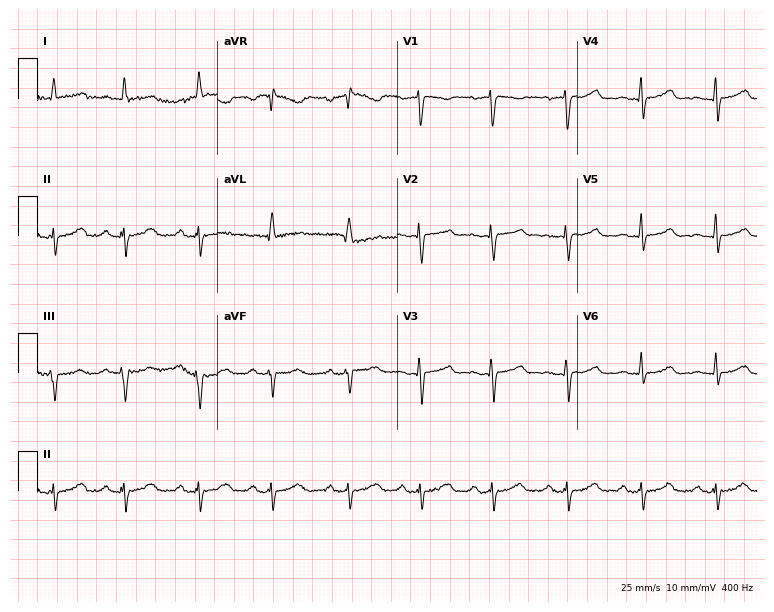
Standard 12-lead ECG recorded from a 63-year-old female. None of these six findings is recorded: first-degree AV block, right bundle branch block, left bundle branch block, sinus bradycardia, atrial fibrillation, sinus tachycardia. Findings outside these six are not listed.